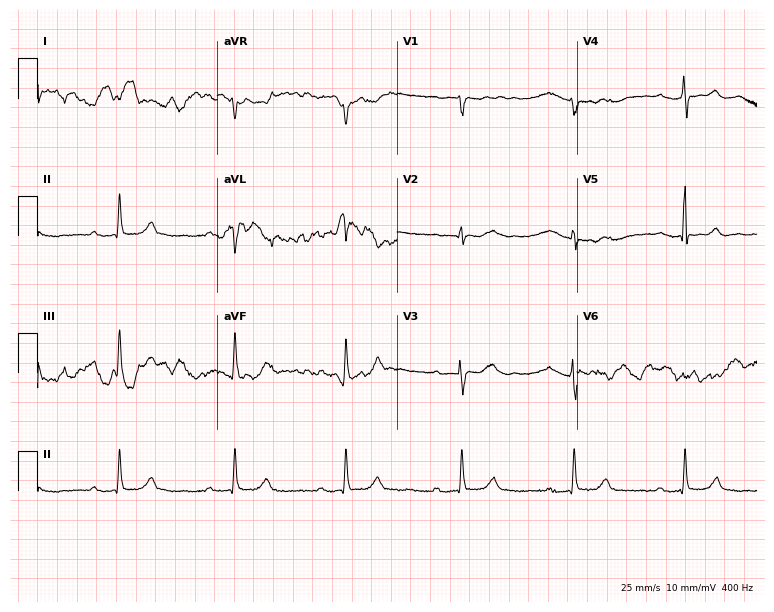
Electrocardiogram (7.3-second recording at 400 Hz), an 80-year-old woman. Of the six screened findings (first-degree AV block, right bundle branch block, left bundle branch block, sinus bradycardia, atrial fibrillation, sinus tachycardia), none is recorded.